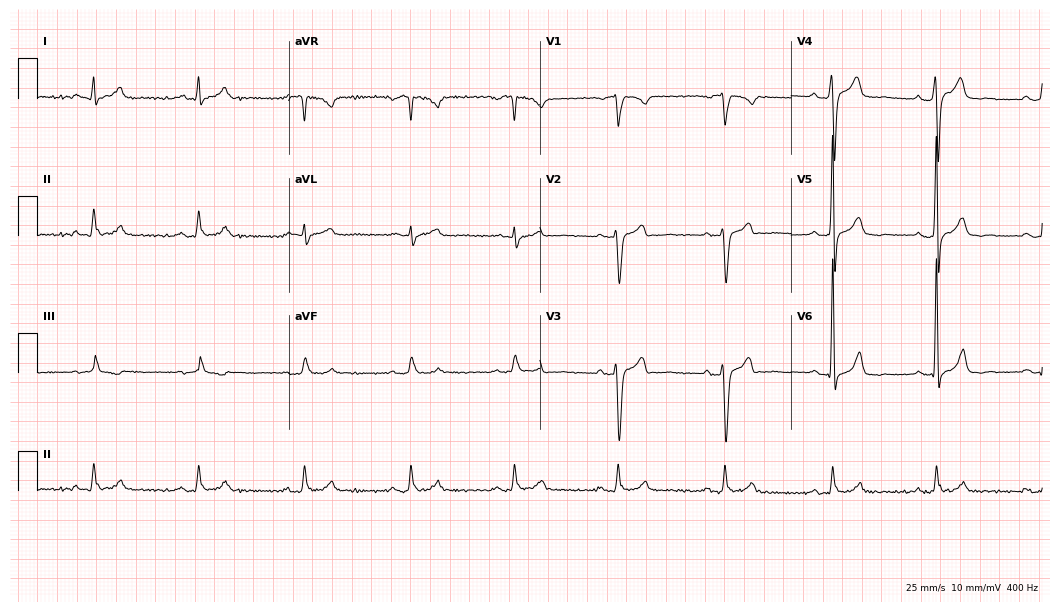
Standard 12-lead ECG recorded from a 43-year-old male patient (10.2-second recording at 400 Hz). None of these six findings is recorded: first-degree AV block, right bundle branch block, left bundle branch block, sinus bradycardia, atrial fibrillation, sinus tachycardia. Only these six findings were labelled.